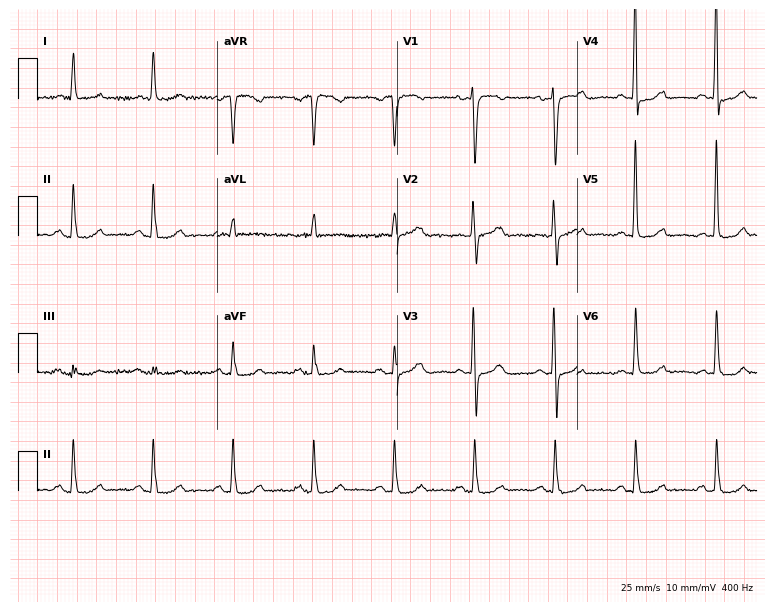
Electrocardiogram (7.3-second recording at 400 Hz), a 50-year-old female patient. Of the six screened findings (first-degree AV block, right bundle branch block, left bundle branch block, sinus bradycardia, atrial fibrillation, sinus tachycardia), none is recorded. Only these six findings were labelled.